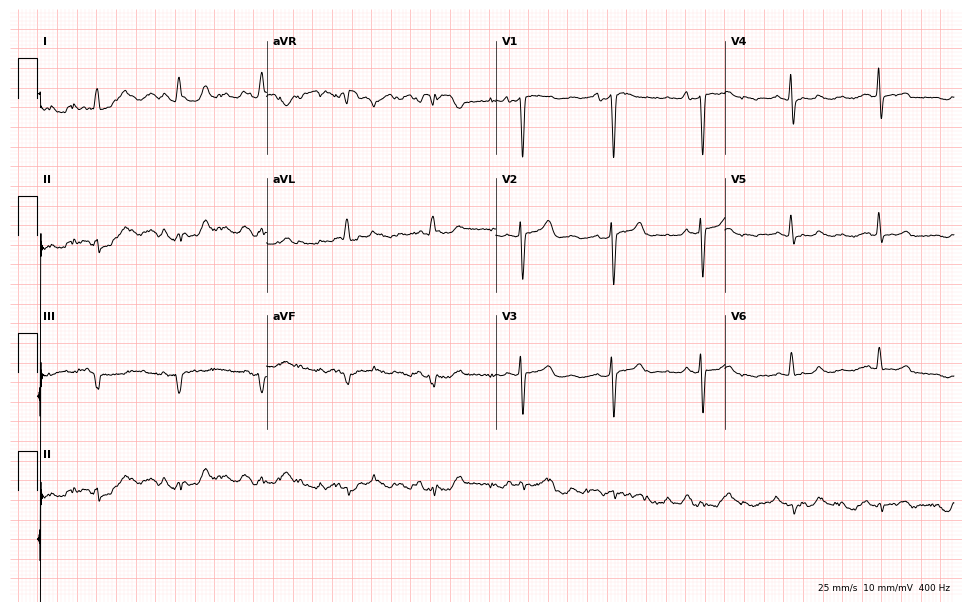
Resting 12-lead electrocardiogram (9.3-second recording at 400 Hz). Patient: a man, 76 years old. None of these six findings is recorded: first-degree AV block, right bundle branch block, left bundle branch block, sinus bradycardia, atrial fibrillation, sinus tachycardia. Other findings, if any, are not listed.